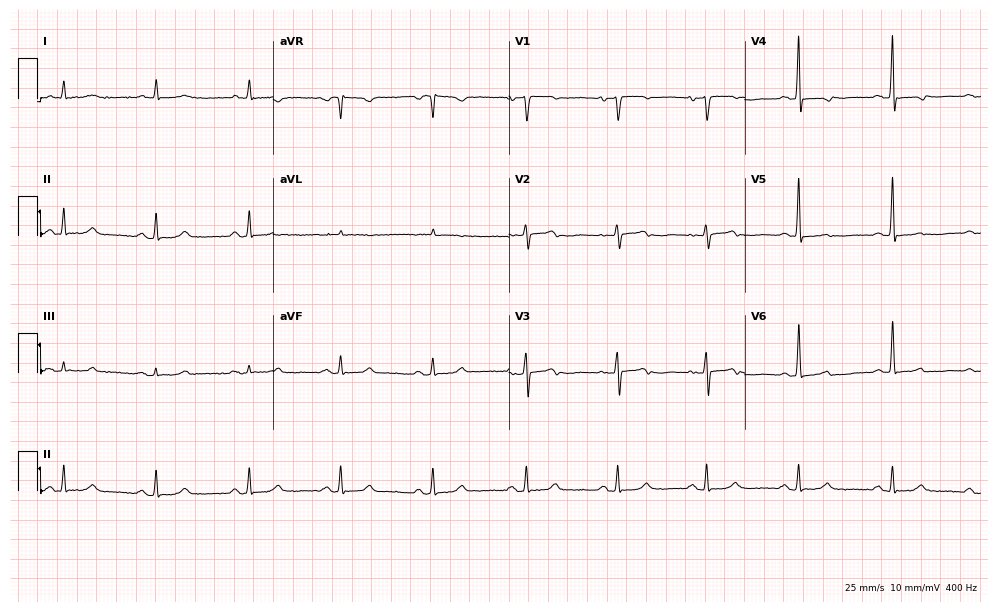
12-lead ECG from a 77-year-old female. No first-degree AV block, right bundle branch block, left bundle branch block, sinus bradycardia, atrial fibrillation or sinus tachycardia recorded for this tracing. Other findings, if any, are not listed.